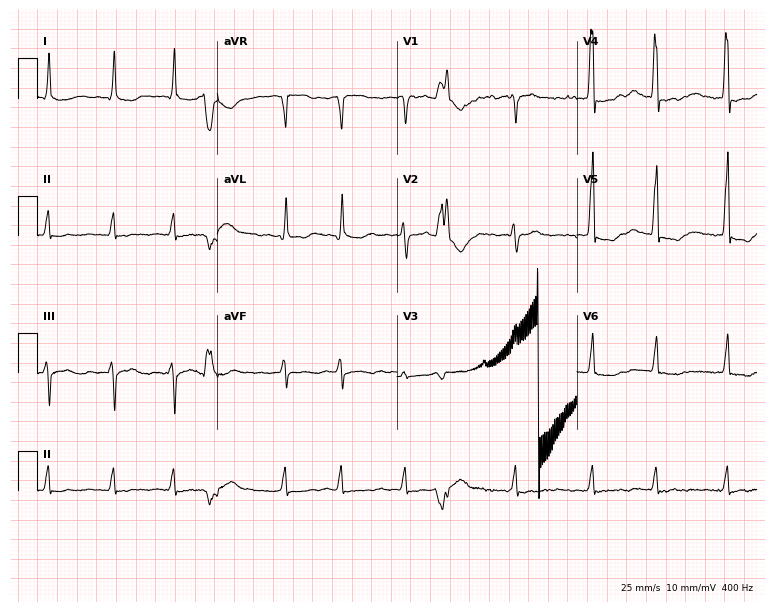
Resting 12-lead electrocardiogram (7.3-second recording at 400 Hz). Patient: a 79-year-old man. The tracing shows atrial fibrillation.